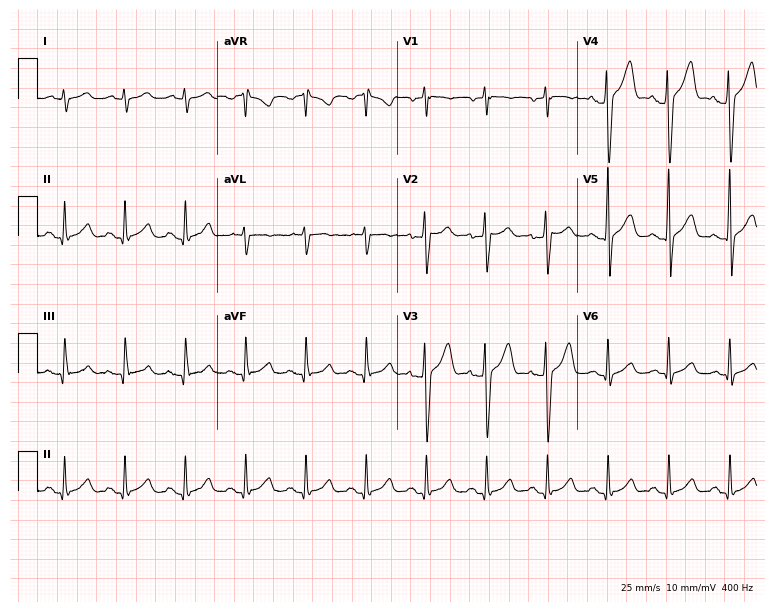
Standard 12-lead ECG recorded from a 36-year-old male patient. None of these six findings is recorded: first-degree AV block, right bundle branch block, left bundle branch block, sinus bradycardia, atrial fibrillation, sinus tachycardia.